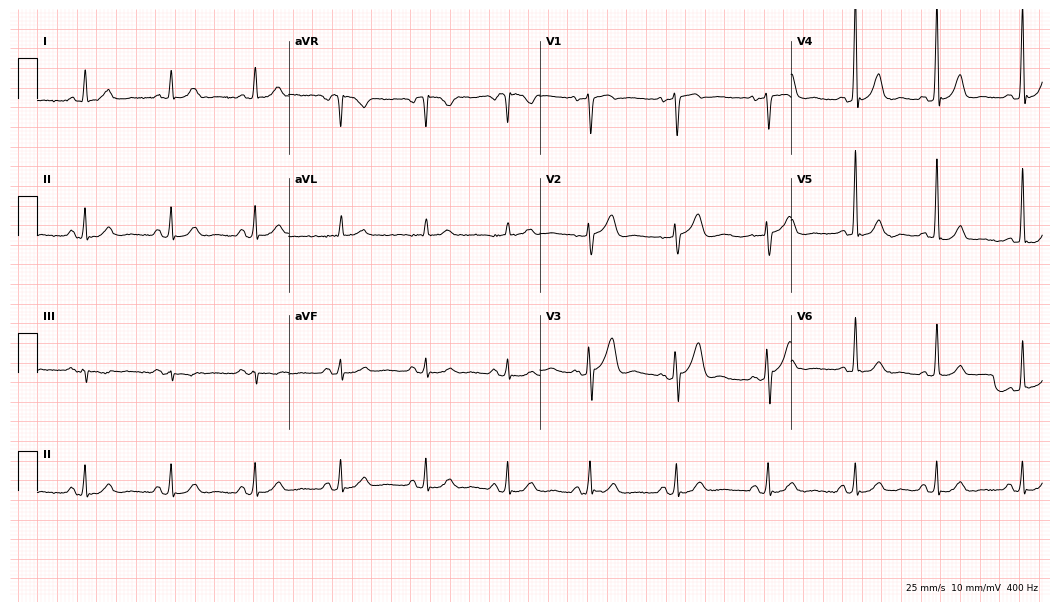
ECG (10.2-second recording at 400 Hz) — a 58-year-old male. Labelled as a normal ECG.